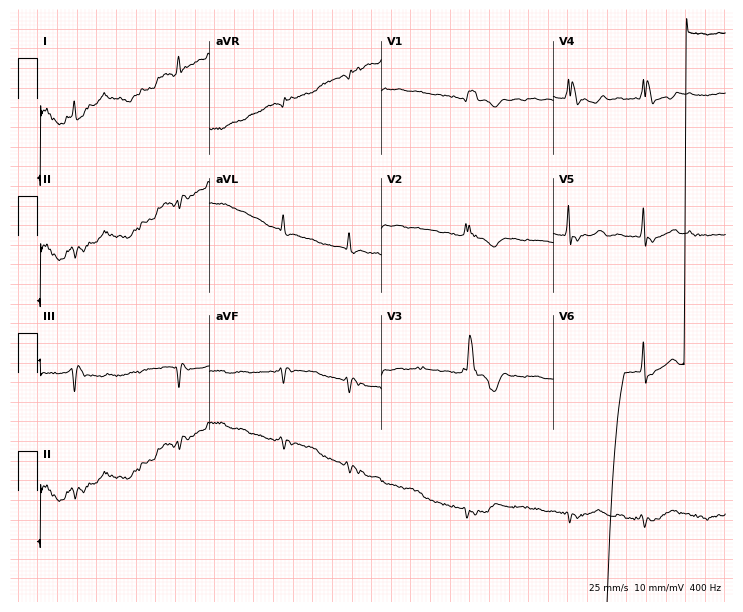
Electrocardiogram, an 83-year-old man. Of the six screened findings (first-degree AV block, right bundle branch block, left bundle branch block, sinus bradycardia, atrial fibrillation, sinus tachycardia), none is recorded.